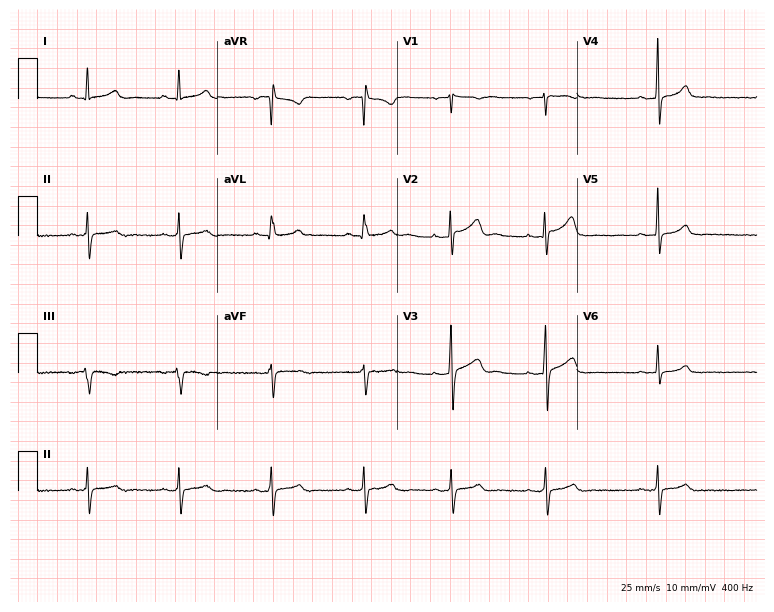
Electrocardiogram (7.3-second recording at 400 Hz), a female, 31 years old. Overall reading on record: normal ECG.